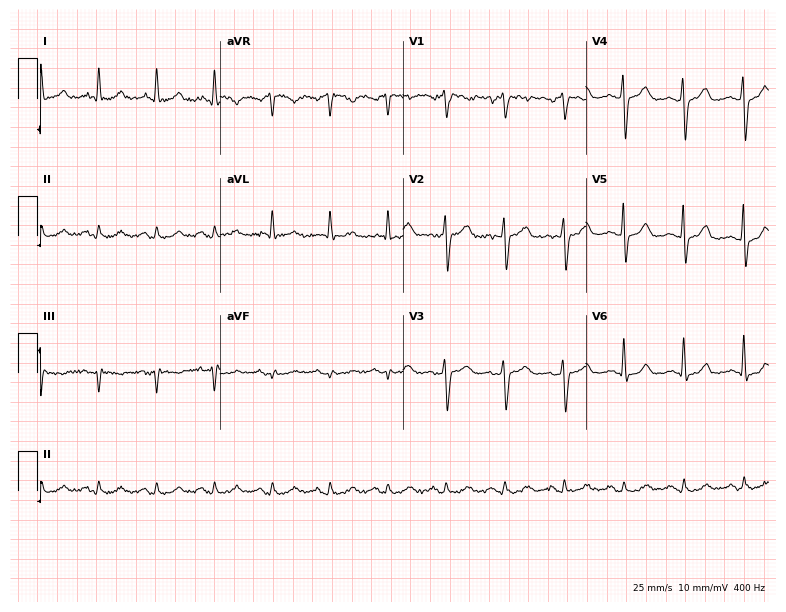
ECG — a 65-year-old male patient. Screened for six findings — first-degree AV block, right bundle branch block (RBBB), left bundle branch block (LBBB), sinus bradycardia, atrial fibrillation (AF), sinus tachycardia — none is recorded. Other findings, if any, are not listed.